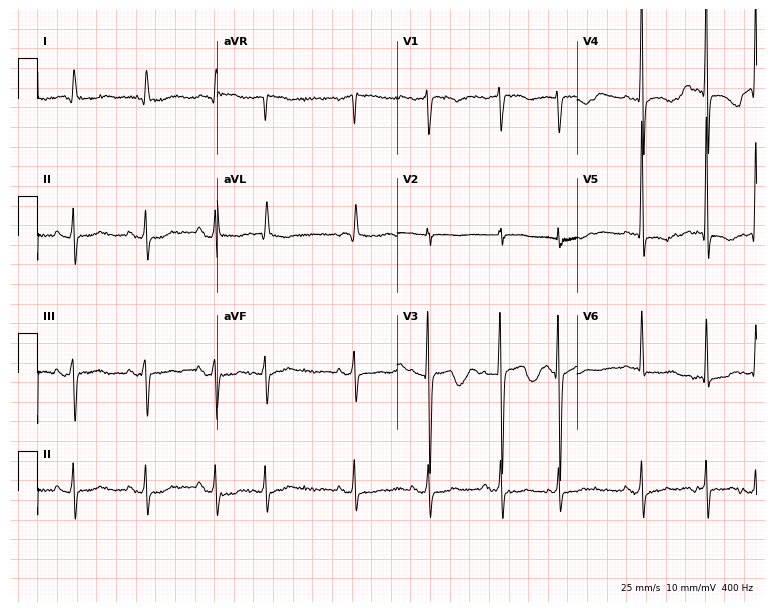
Electrocardiogram, an 83-year-old man. Of the six screened findings (first-degree AV block, right bundle branch block, left bundle branch block, sinus bradycardia, atrial fibrillation, sinus tachycardia), none is recorded.